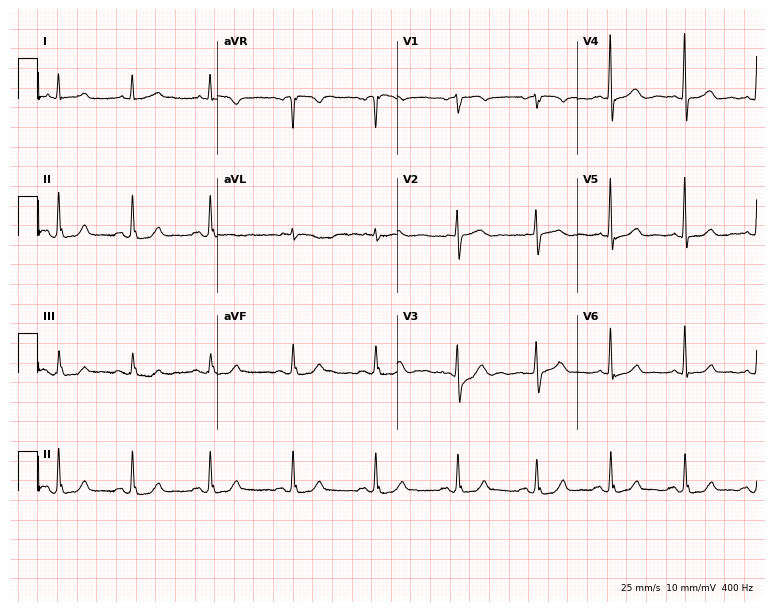
Resting 12-lead electrocardiogram (7.3-second recording at 400 Hz). Patient: a 58-year-old female. Read as a normal ECG.